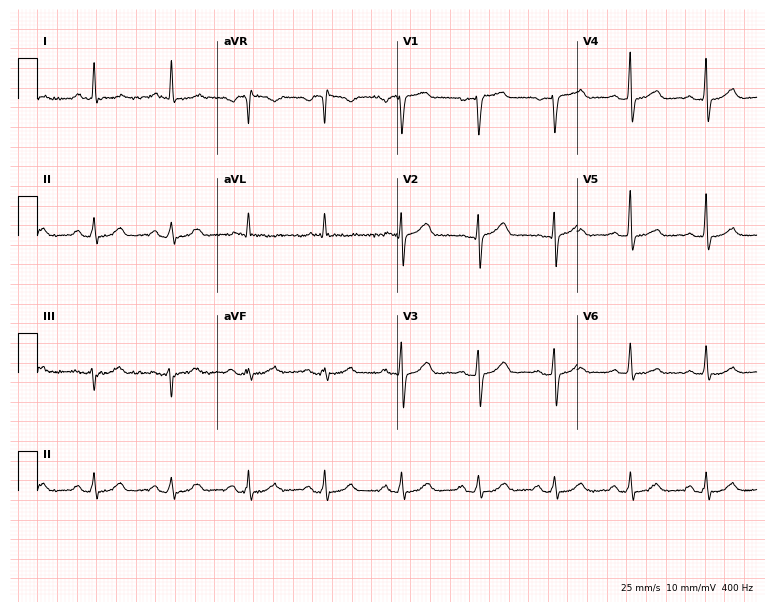
Standard 12-lead ECG recorded from a 68-year-old woman. Read as a normal ECG.